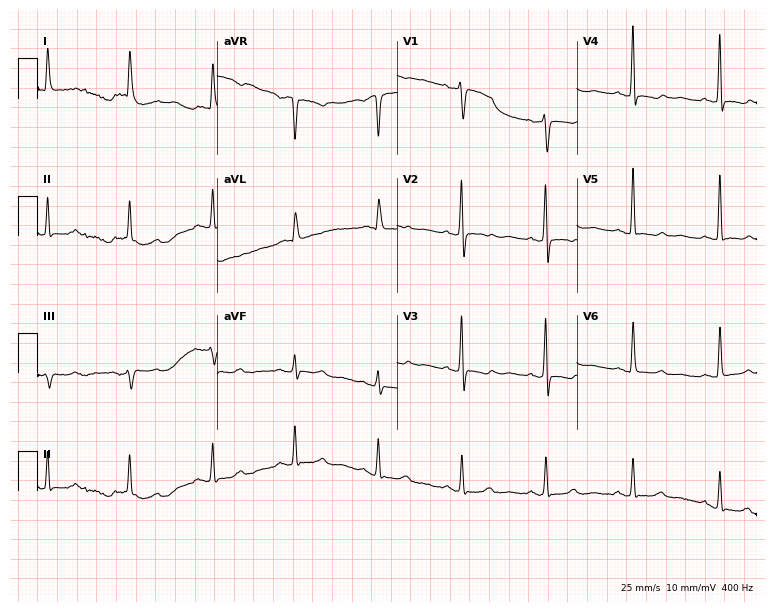
12-lead ECG (7.3-second recording at 400 Hz) from a woman, 68 years old. Screened for six findings — first-degree AV block, right bundle branch block, left bundle branch block, sinus bradycardia, atrial fibrillation, sinus tachycardia — none is recorded. Only these six findings were labelled.